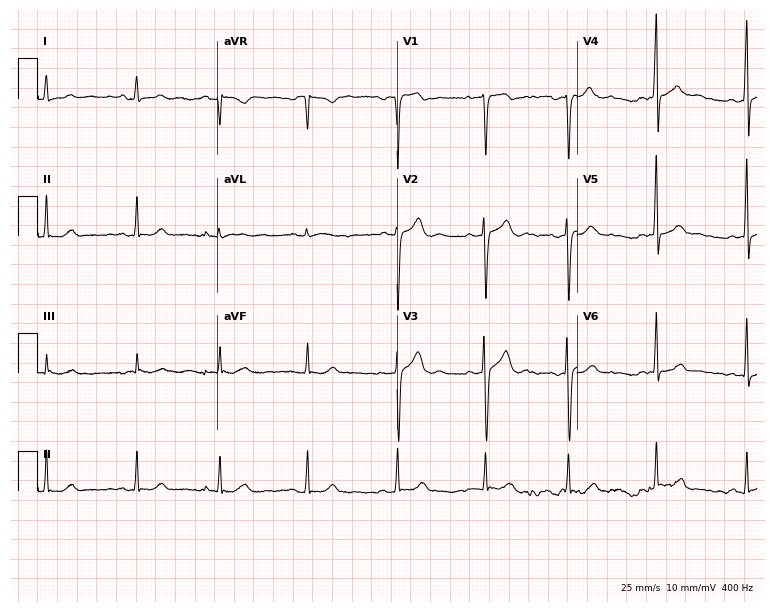
12-lead ECG from a 21-year-old male patient (7.3-second recording at 400 Hz). Recorded interpretation: within normal limits.